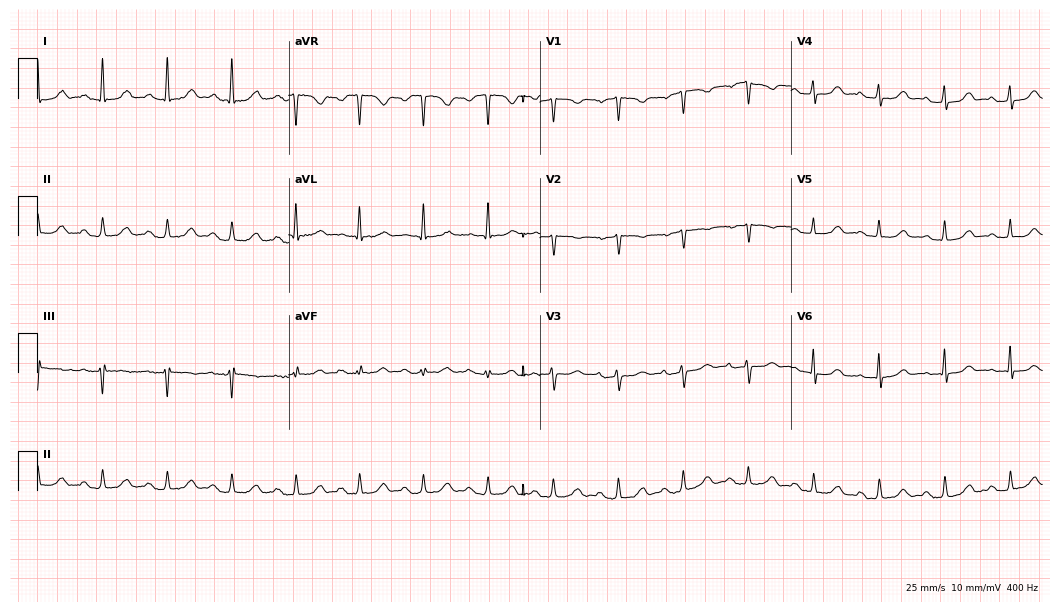
Standard 12-lead ECG recorded from a 67-year-old woman (10.2-second recording at 400 Hz). Read as a normal ECG.